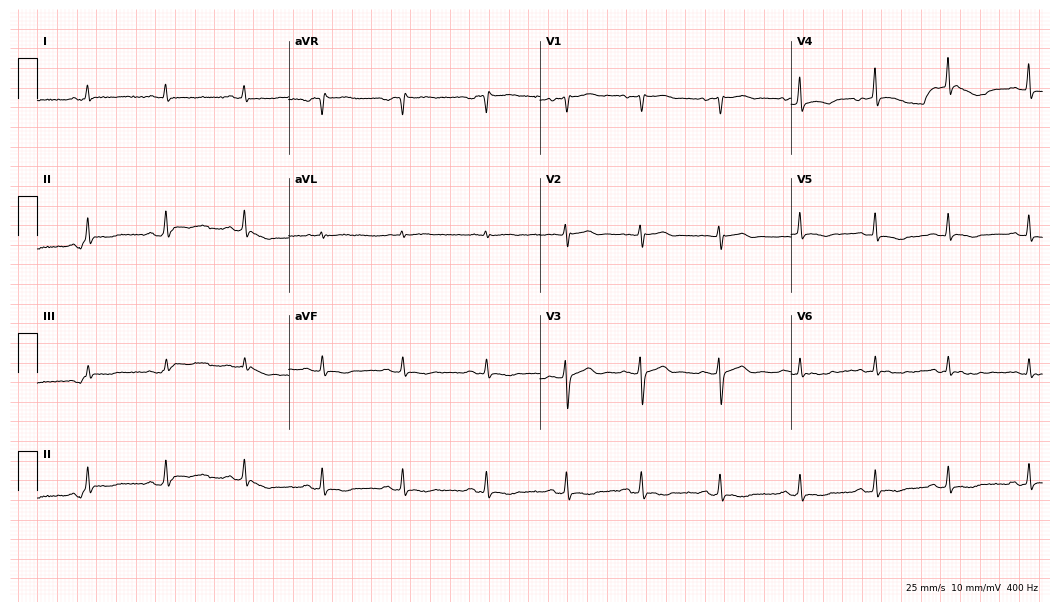
Resting 12-lead electrocardiogram. Patient: a 31-year-old female. None of these six findings is recorded: first-degree AV block, right bundle branch block, left bundle branch block, sinus bradycardia, atrial fibrillation, sinus tachycardia. Other findings, if any, are not listed.